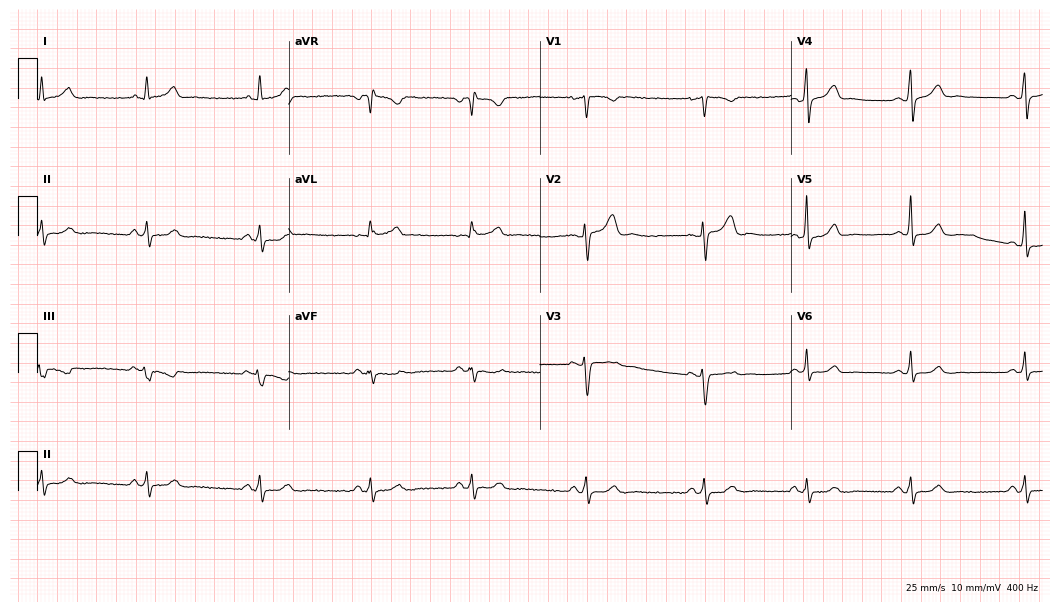
12-lead ECG (10.2-second recording at 400 Hz) from a 37-year-old female patient. Screened for six findings — first-degree AV block, right bundle branch block, left bundle branch block, sinus bradycardia, atrial fibrillation, sinus tachycardia — none is recorded.